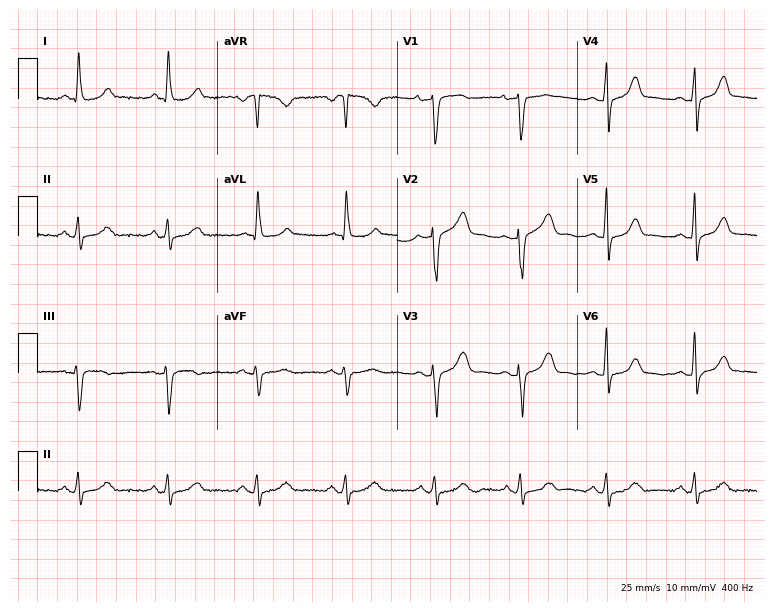
Resting 12-lead electrocardiogram (7.3-second recording at 400 Hz). Patient: a 51-year-old woman. None of these six findings is recorded: first-degree AV block, right bundle branch block, left bundle branch block, sinus bradycardia, atrial fibrillation, sinus tachycardia. Findings outside these six are not listed.